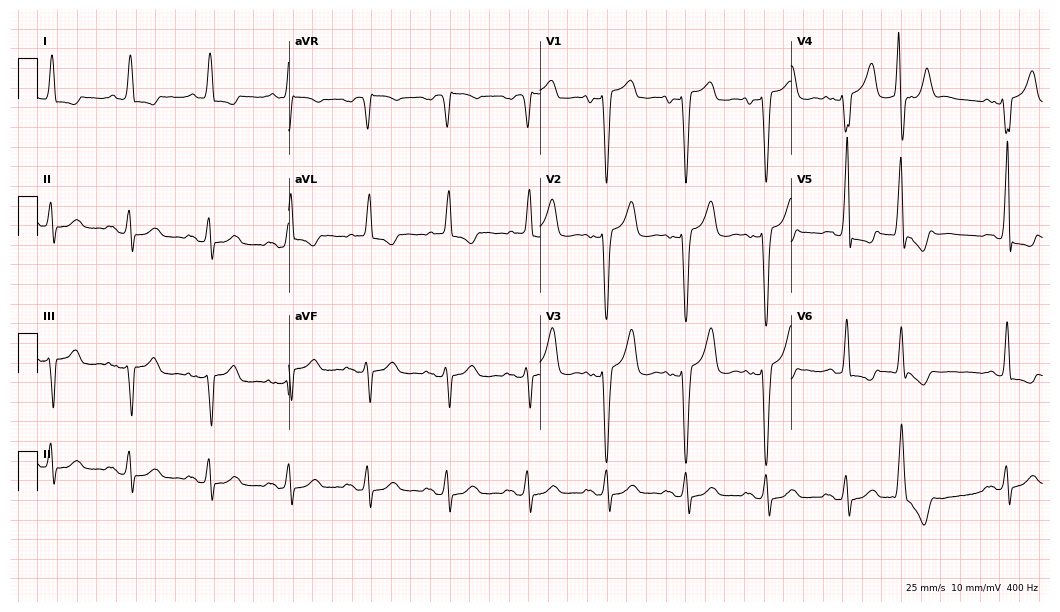
Standard 12-lead ECG recorded from a 79-year-old woman. The tracing shows left bundle branch block.